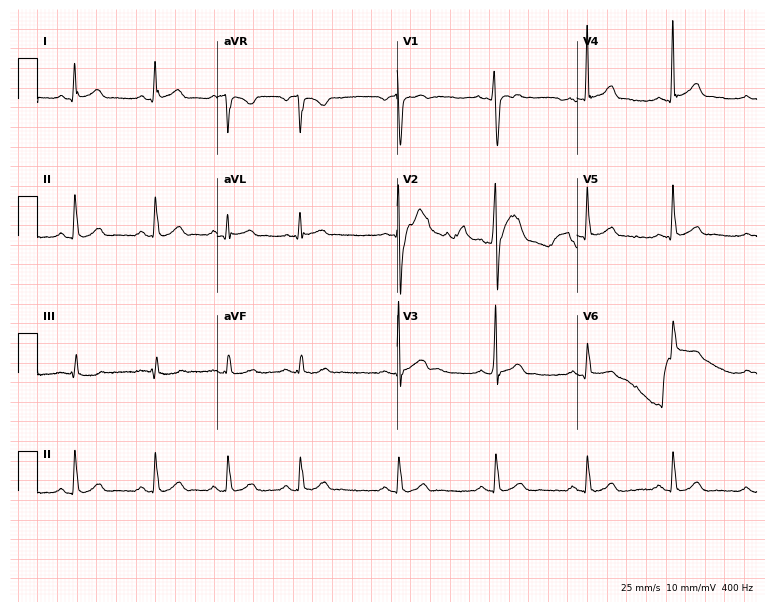
12-lead ECG (7.3-second recording at 400 Hz) from a 30-year-old male. Labelled as a normal ECG.